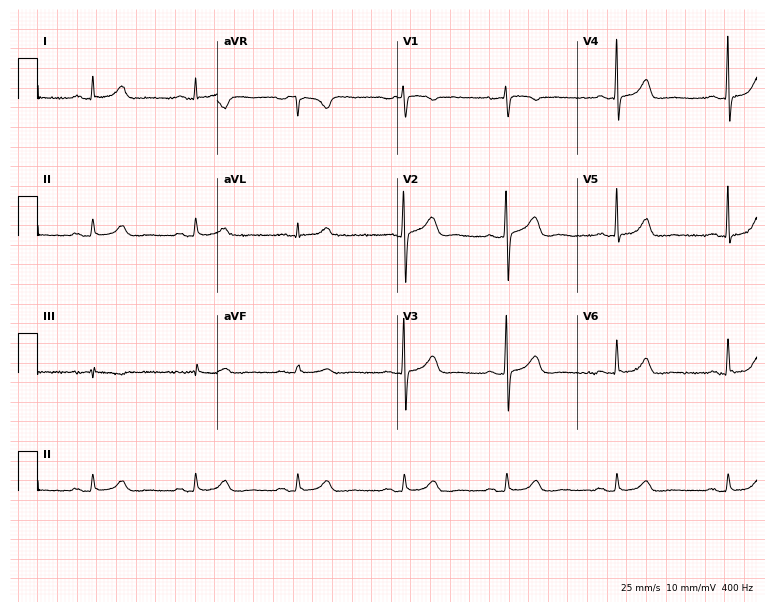
Resting 12-lead electrocardiogram. Patient: a 52-year-old male. None of these six findings is recorded: first-degree AV block, right bundle branch block, left bundle branch block, sinus bradycardia, atrial fibrillation, sinus tachycardia.